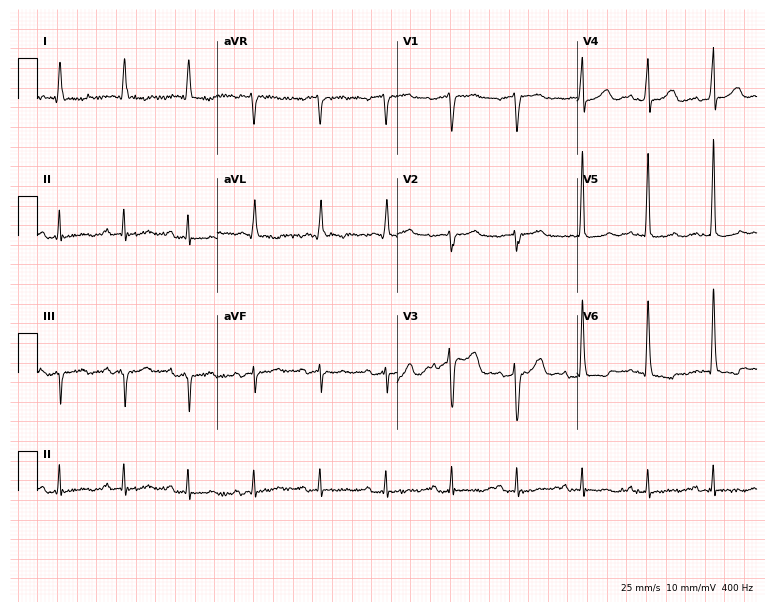
ECG (7.3-second recording at 400 Hz) — a male patient, 83 years old. Screened for six findings — first-degree AV block, right bundle branch block, left bundle branch block, sinus bradycardia, atrial fibrillation, sinus tachycardia — none is recorded.